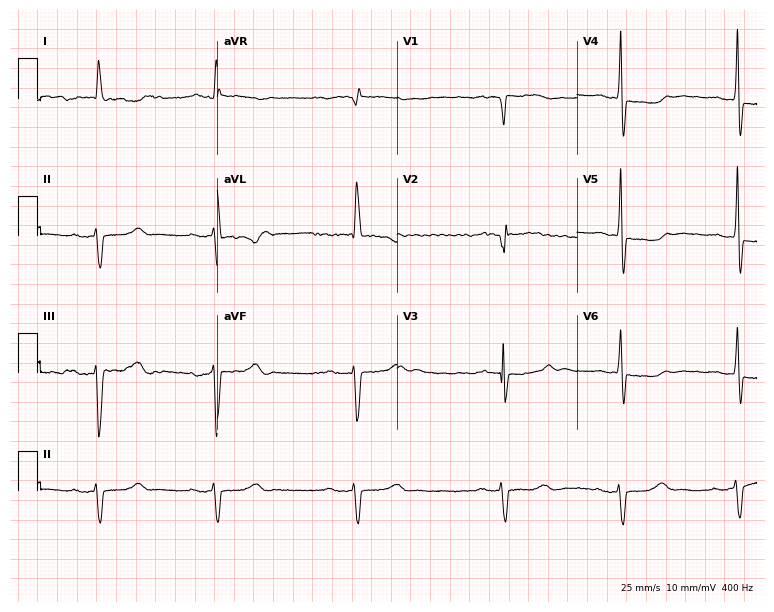
12-lead ECG from a 76-year-old female patient. No first-degree AV block, right bundle branch block, left bundle branch block, sinus bradycardia, atrial fibrillation or sinus tachycardia recorded for this tracing. Only these six findings were labelled.